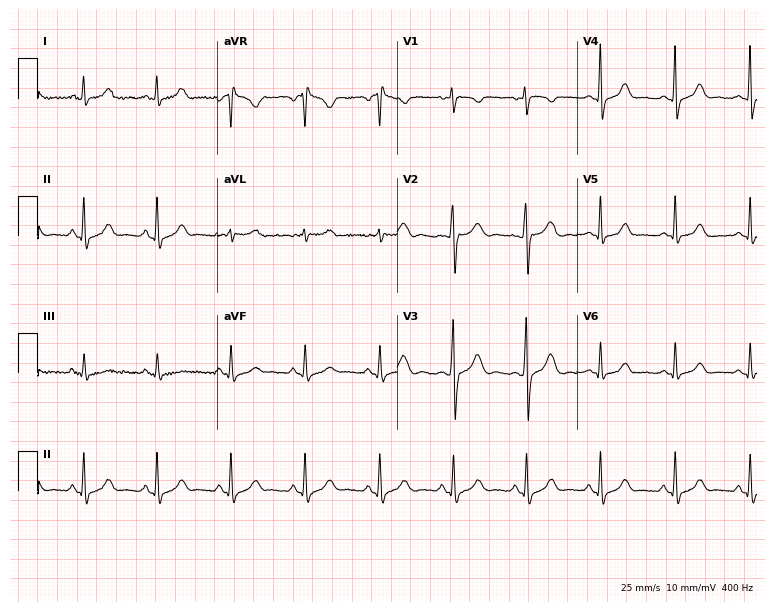
ECG (7.3-second recording at 400 Hz) — a 32-year-old female patient. Labelled as a normal ECG.